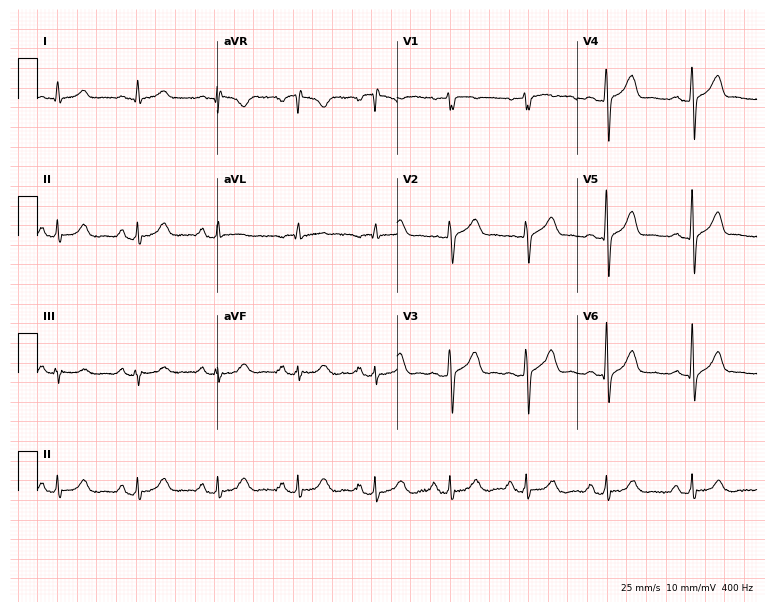
12-lead ECG from a man, 74 years old. Recorded interpretation: within normal limits.